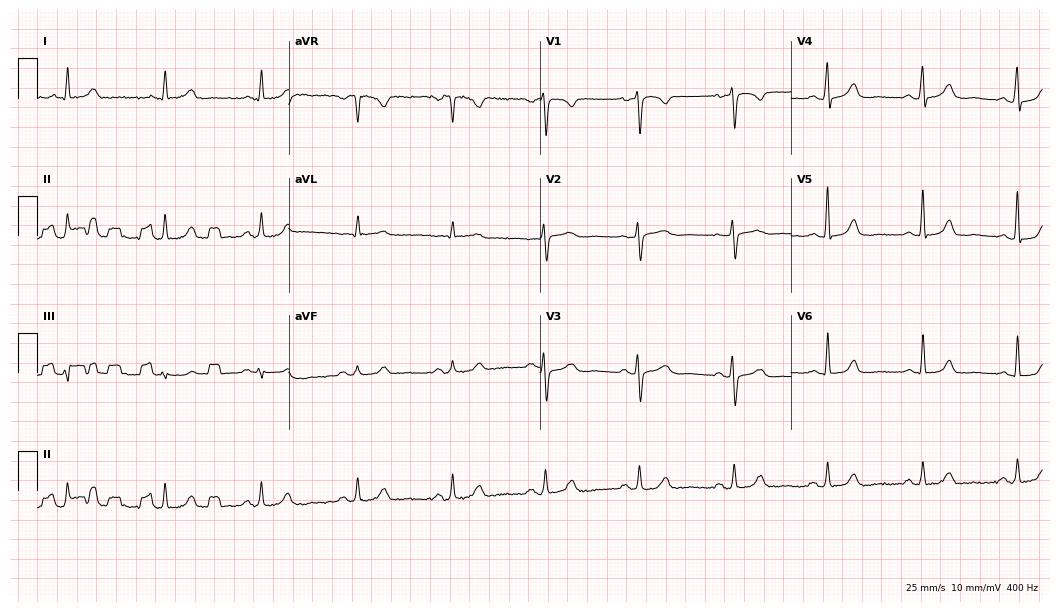
ECG — a female patient, 49 years old. Screened for six findings — first-degree AV block, right bundle branch block (RBBB), left bundle branch block (LBBB), sinus bradycardia, atrial fibrillation (AF), sinus tachycardia — none is recorded. Findings outside these six are not listed.